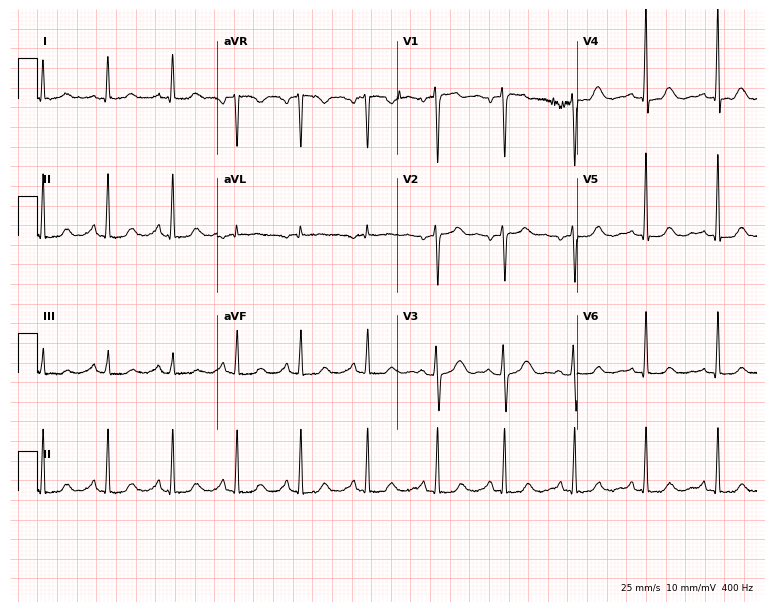
Electrocardiogram (7.3-second recording at 400 Hz), a 51-year-old female. Of the six screened findings (first-degree AV block, right bundle branch block, left bundle branch block, sinus bradycardia, atrial fibrillation, sinus tachycardia), none is recorded. Findings outside these six are not listed.